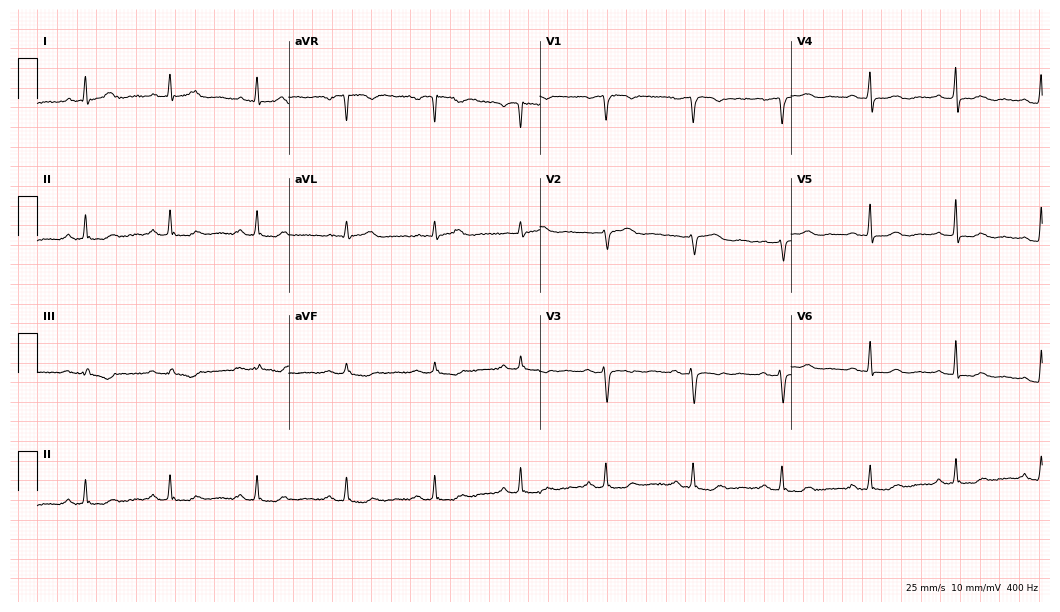
Standard 12-lead ECG recorded from a female patient, 53 years old. None of these six findings is recorded: first-degree AV block, right bundle branch block, left bundle branch block, sinus bradycardia, atrial fibrillation, sinus tachycardia.